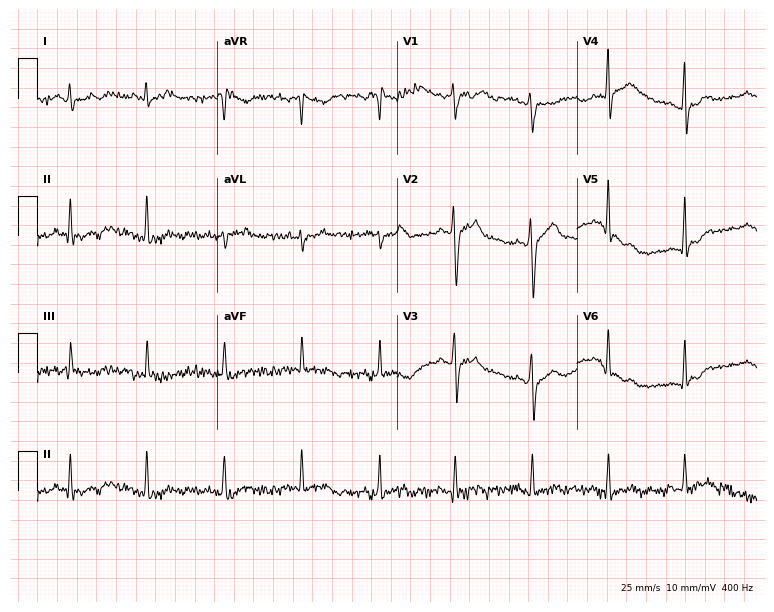
ECG (7.3-second recording at 400 Hz) — a 25-year-old male patient. Screened for six findings — first-degree AV block, right bundle branch block (RBBB), left bundle branch block (LBBB), sinus bradycardia, atrial fibrillation (AF), sinus tachycardia — none is recorded.